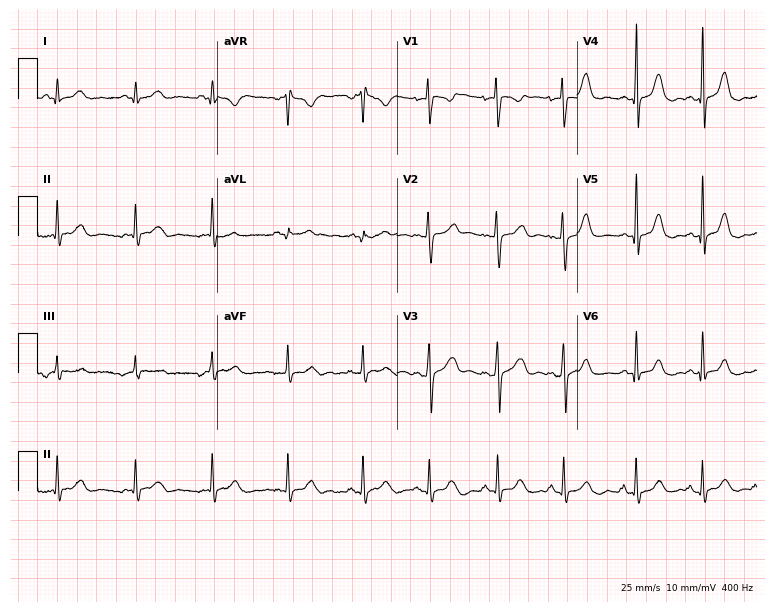
Resting 12-lead electrocardiogram (7.3-second recording at 400 Hz). Patient: a female, 17 years old. None of these six findings is recorded: first-degree AV block, right bundle branch block, left bundle branch block, sinus bradycardia, atrial fibrillation, sinus tachycardia.